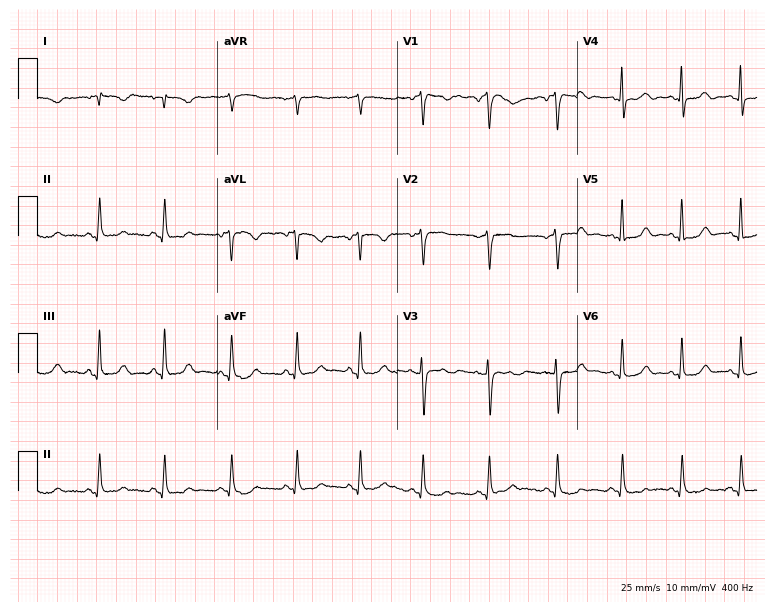
Electrocardiogram (7.3-second recording at 400 Hz), a woman, 57 years old. Of the six screened findings (first-degree AV block, right bundle branch block, left bundle branch block, sinus bradycardia, atrial fibrillation, sinus tachycardia), none is recorded. Findings outside these six are not listed.